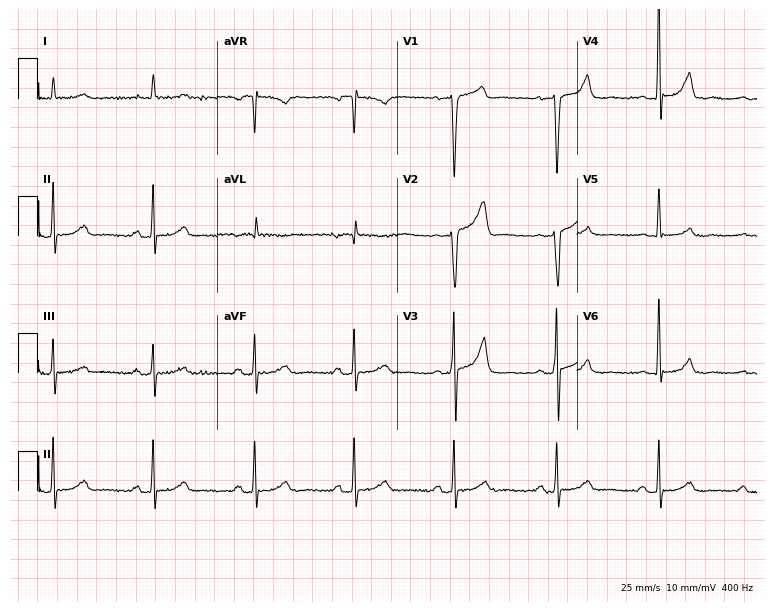
Standard 12-lead ECG recorded from a 77-year-old male patient (7.3-second recording at 400 Hz). Read as a normal ECG.